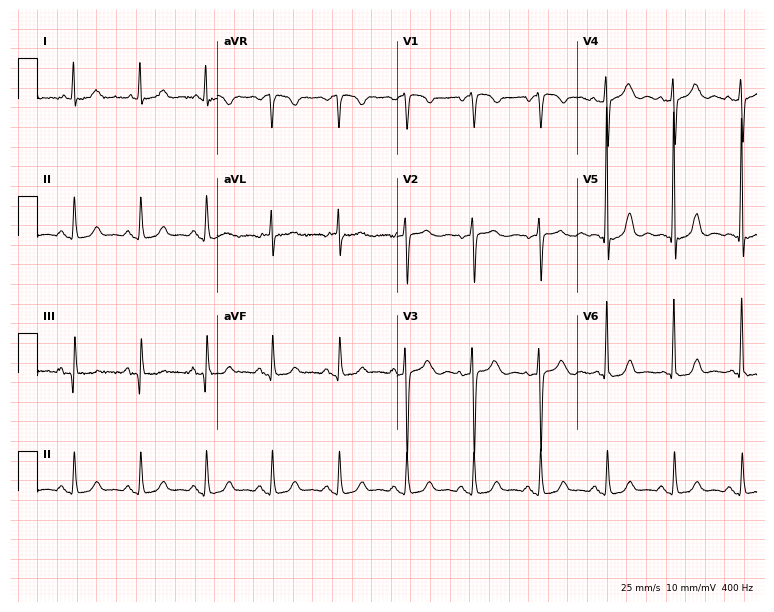
12-lead ECG from a female, 75 years old. No first-degree AV block, right bundle branch block (RBBB), left bundle branch block (LBBB), sinus bradycardia, atrial fibrillation (AF) or sinus tachycardia recorded for this tracing. Other findings, if any, are not listed.